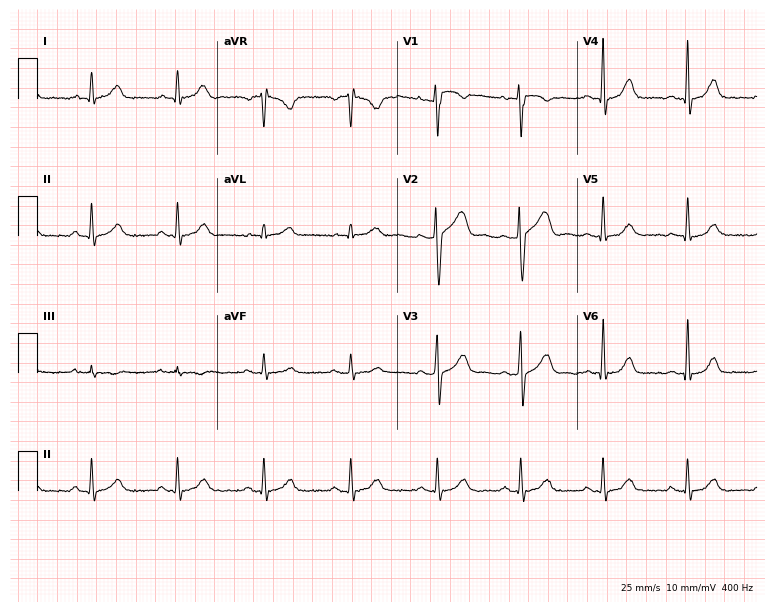
12-lead ECG (7.3-second recording at 400 Hz) from a man, 49 years old. Labelled as a normal ECG.